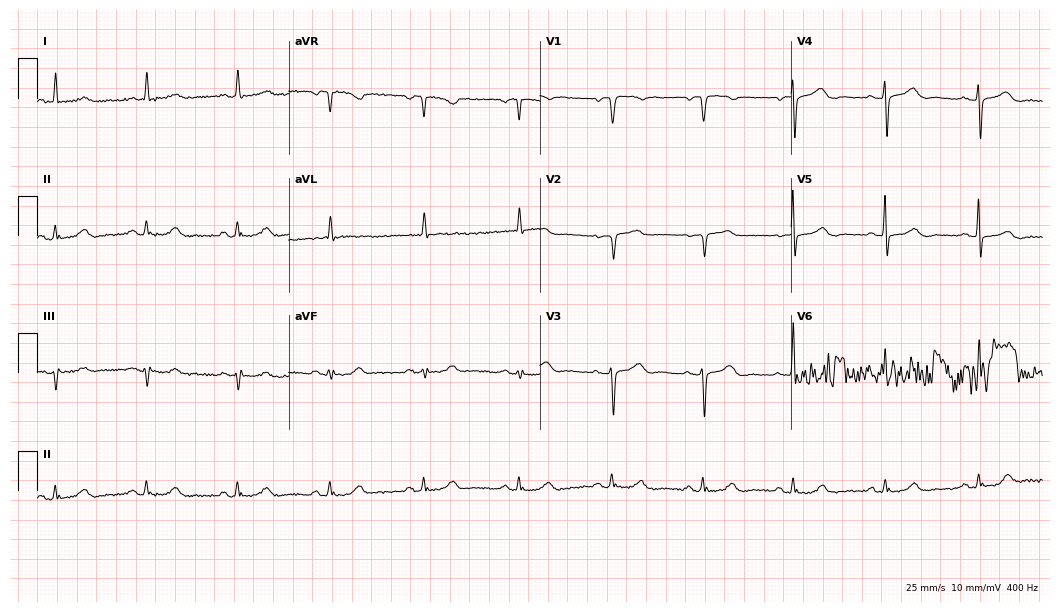
12-lead ECG from a female, 73 years old. No first-degree AV block, right bundle branch block, left bundle branch block, sinus bradycardia, atrial fibrillation or sinus tachycardia recorded for this tracing.